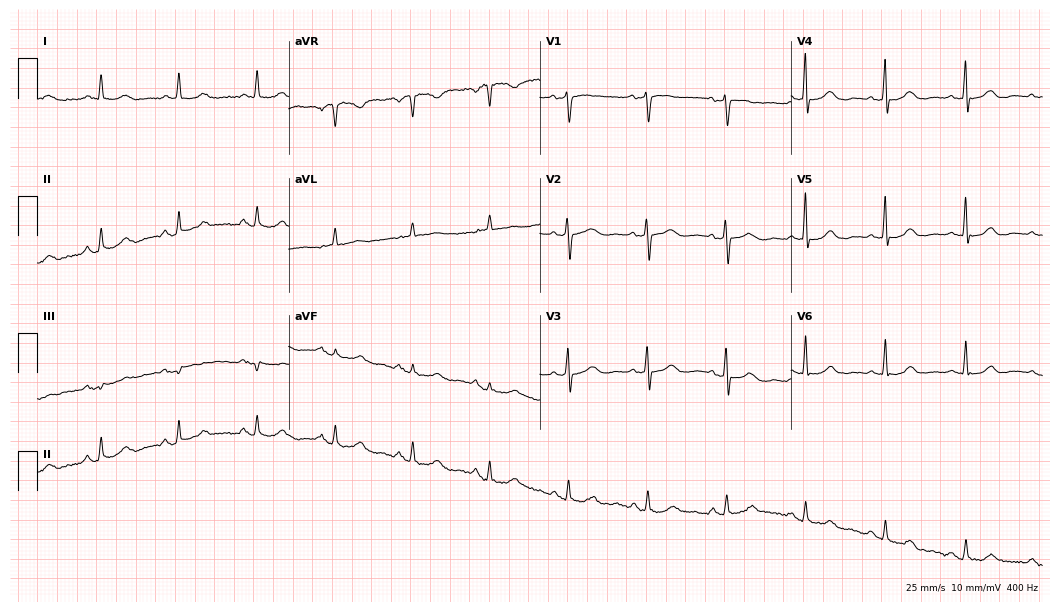
Electrocardiogram (10.2-second recording at 400 Hz), a 74-year-old female. Of the six screened findings (first-degree AV block, right bundle branch block, left bundle branch block, sinus bradycardia, atrial fibrillation, sinus tachycardia), none is recorded. Findings outside these six are not listed.